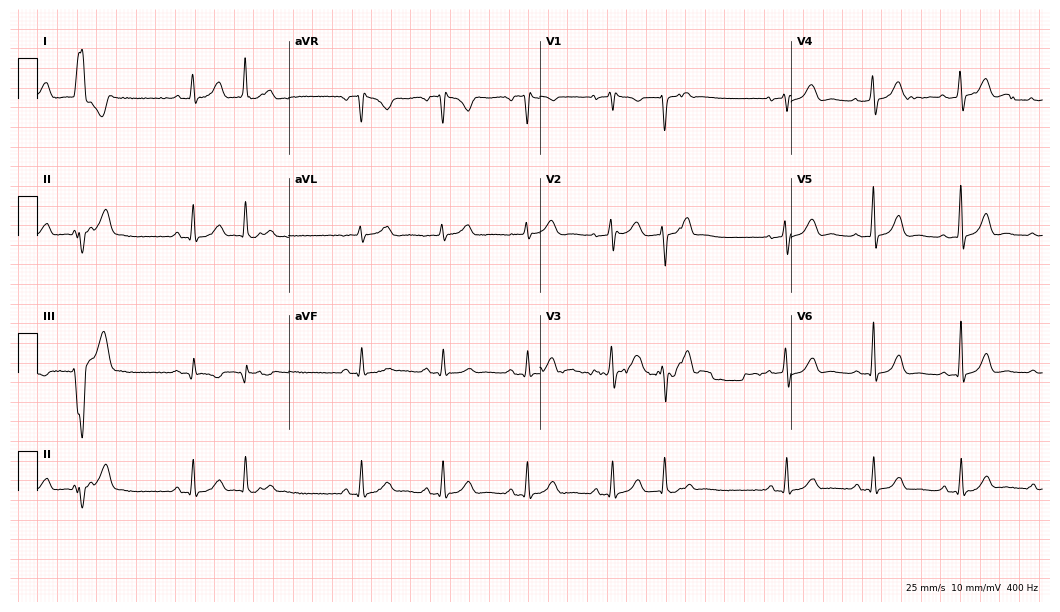
ECG (10.2-second recording at 400 Hz) — a woman, 67 years old. Screened for six findings — first-degree AV block, right bundle branch block (RBBB), left bundle branch block (LBBB), sinus bradycardia, atrial fibrillation (AF), sinus tachycardia — none is recorded.